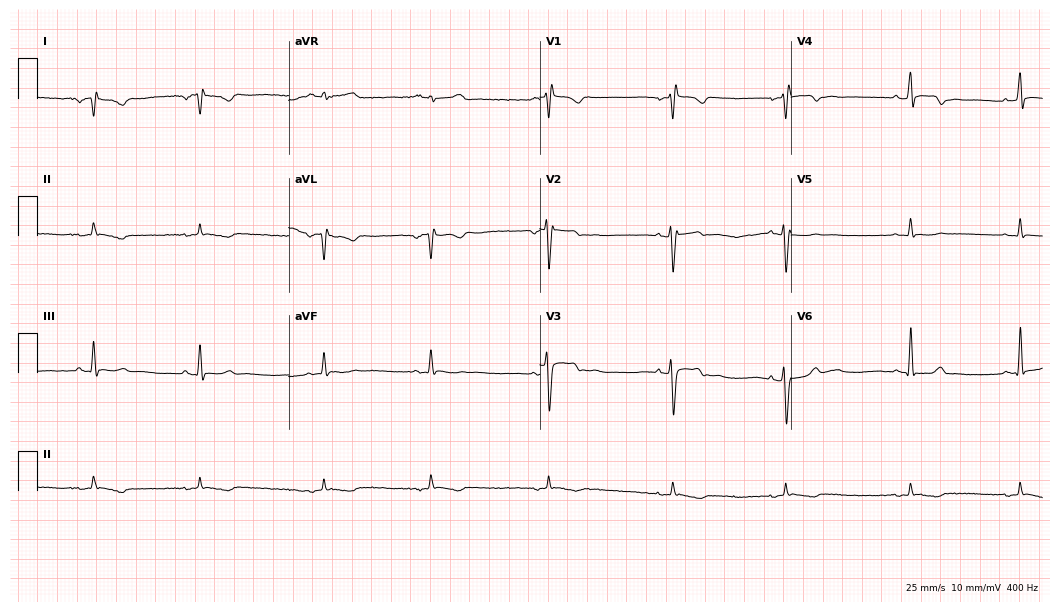
Electrocardiogram (10.2-second recording at 400 Hz), an 18-year-old female. Of the six screened findings (first-degree AV block, right bundle branch block, left bundle branch block, sinus bradycardia, atrial fibrillation, sinus tachycardia), none is recorded. Findings outside these six are not listed.